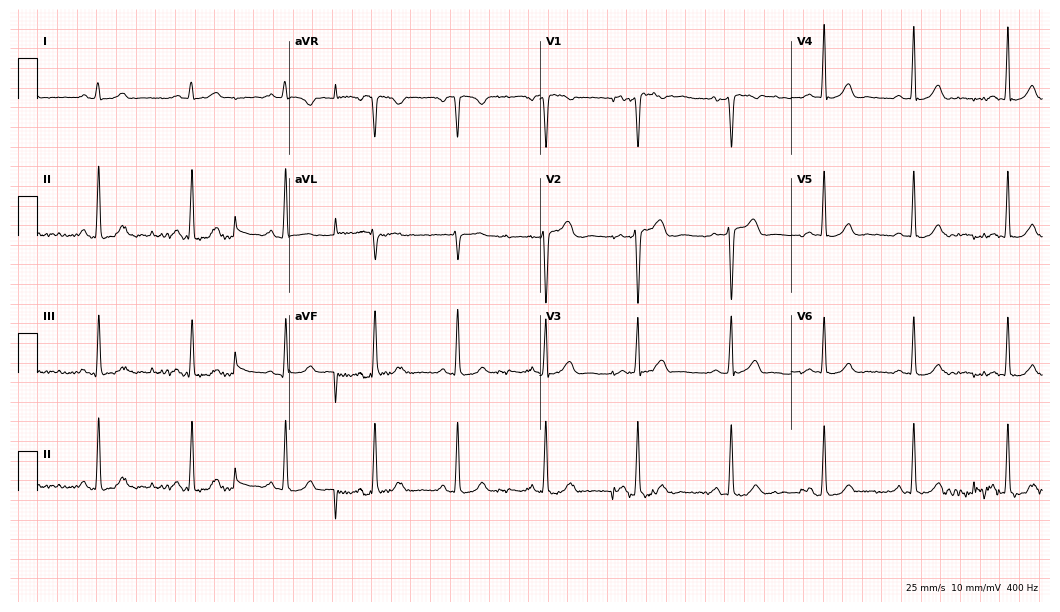
Electrocardiogram (10.2-second recording at 400 Hz), a 24-year-old female patient. Overall reading on record: normal ECG.